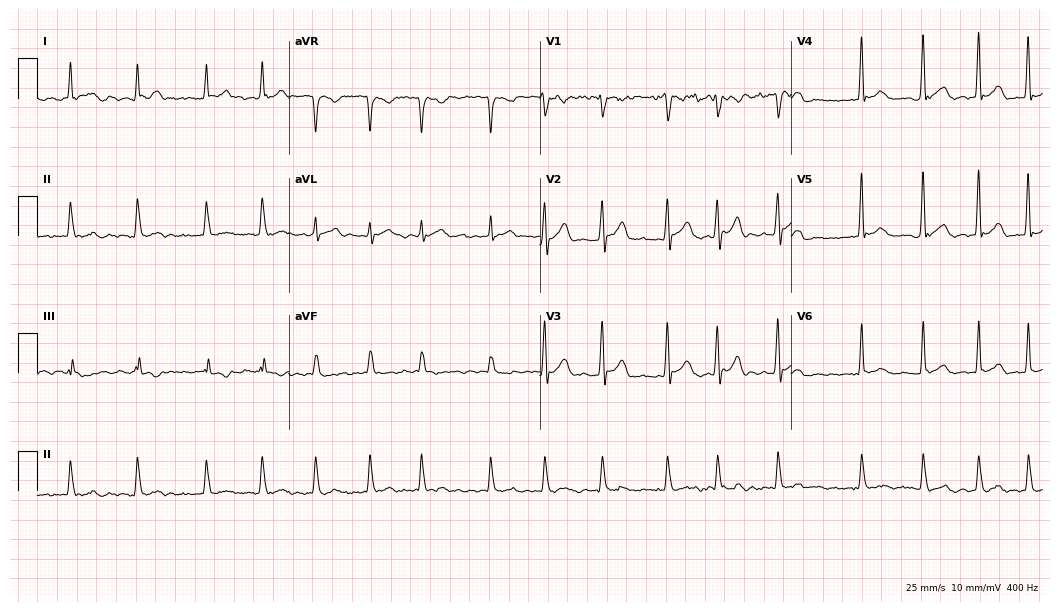
Electrocardiogram (10.2-second recording at 400 Hz), a man, 39 years old. Interpretation includes atrial fibrillation (AF).